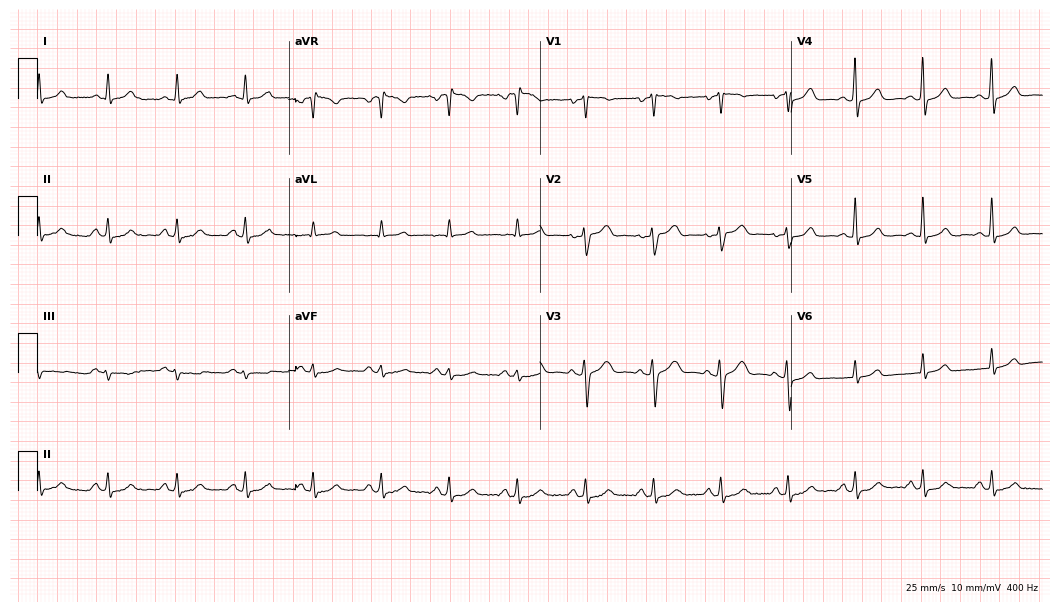
12-lead ECG from a female patient, 47 years old. Recorded interpretation: within normal limits.